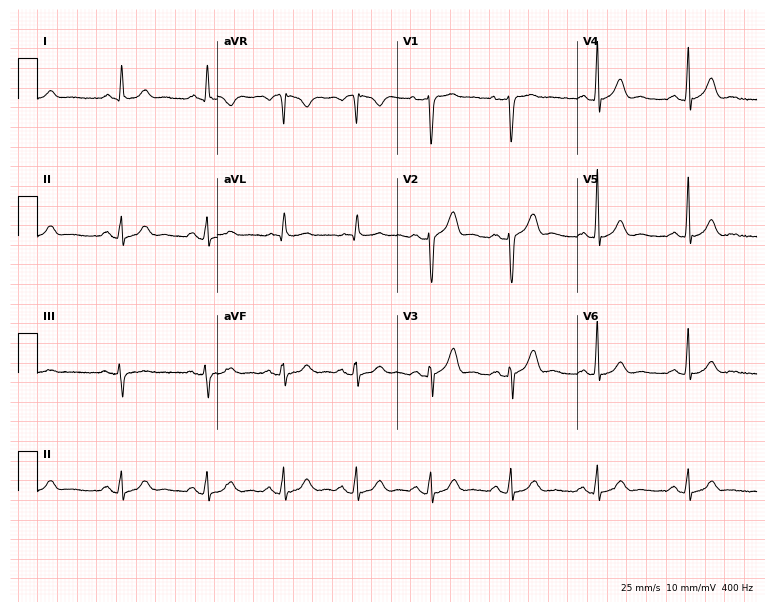
12-lead ECG from a 69-year-old male (7.3-second recording at 400 Hz). Recorded interpretation: within normal limits.